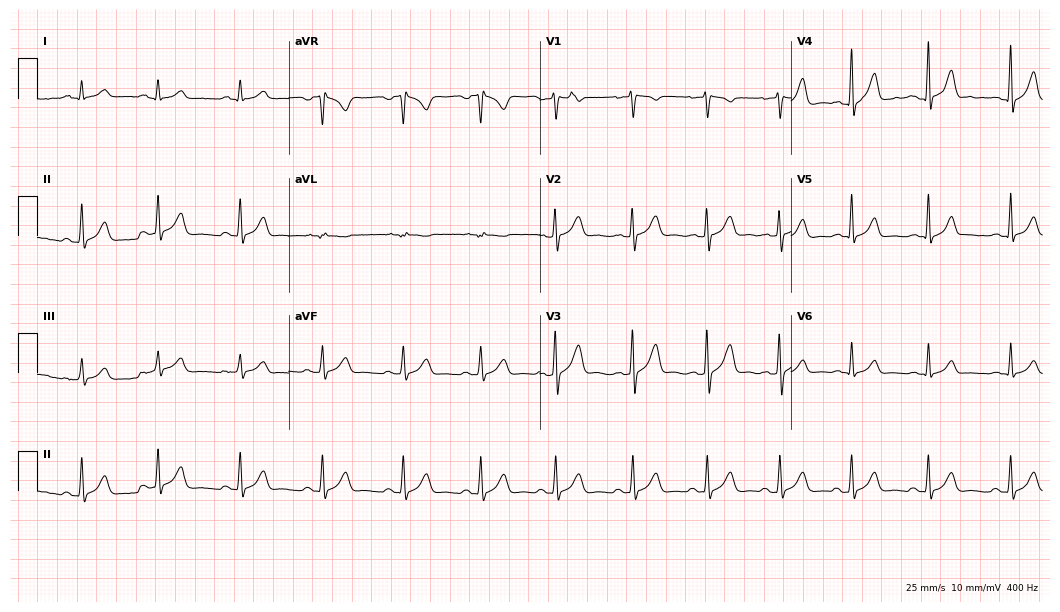
ECG (10.2-second recording at 400 Hz) — a 21-year-old female. Screened for six findings — first-degree AV block, right bundle branch block, left bundle branch block, sinus bradycardia, atrial fibrillation, sinus tachycardia — none is recorded.